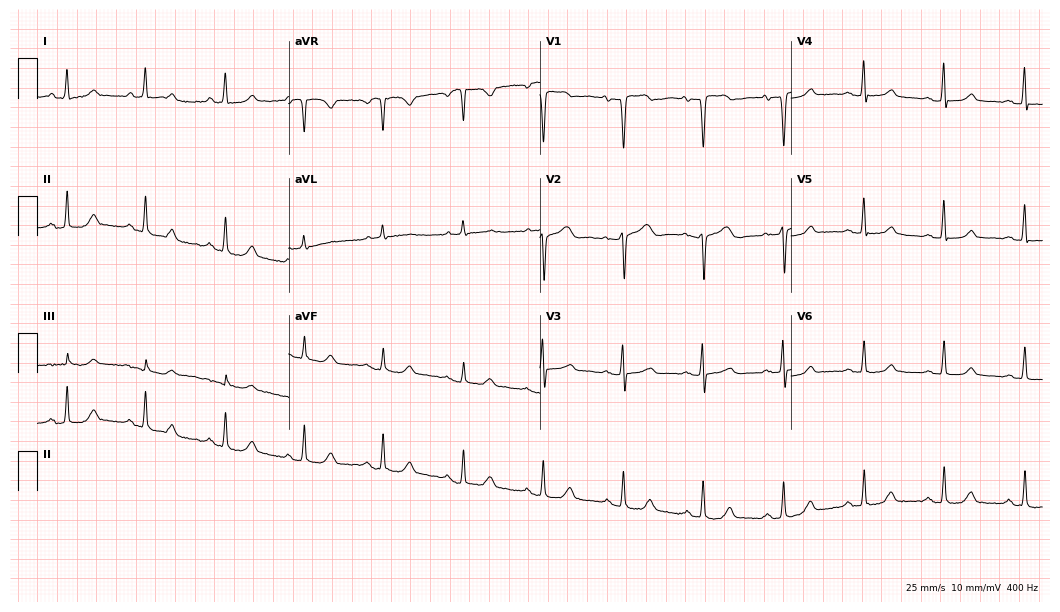
12-lead ECG from a 71-year-old female. Recorded interpretation: within normal limits.